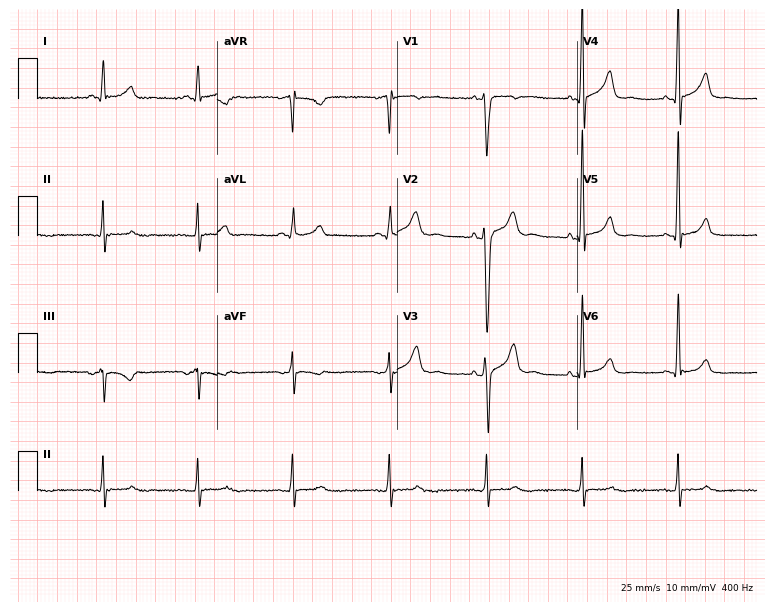
Electrocardiogram (7.3-second recording at 400 Hz), a male patient, 47 years old. Of the six screened findings (first-degree AV block, right bundle branch block, left bundle branch block, sinus bradycardia, atrial fibrillation, sinus tachycardia), none is recorded.